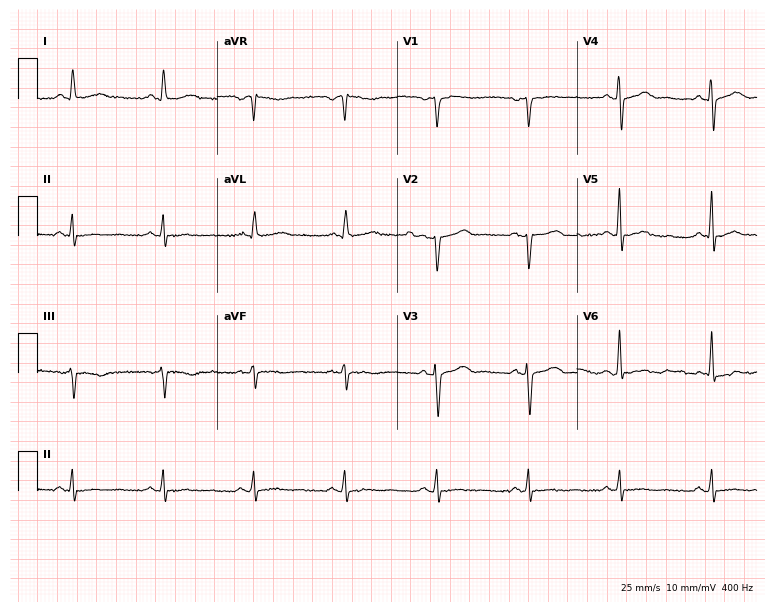
Standard 12-lead ECG recorded from a 61-year-old man (7.3-second recording at 400 Hz). None of these six findings is recorded: first-degree AV block, right bundle branch block, left bundle branch block, sinus bradycardia, atrial fibrillation, sinus tachycardia.